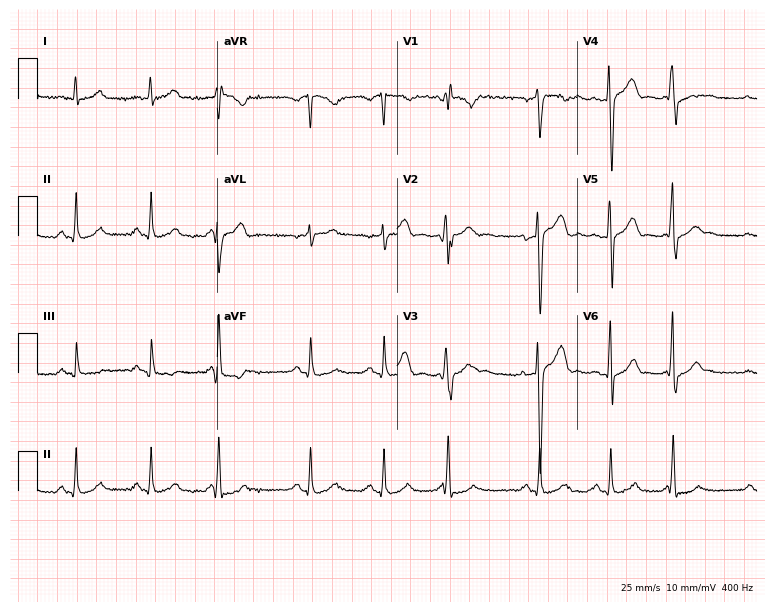
12-lead ECG (7.3-second recording at 400 Hz) from a male patient, 32 years old. Labelled as a normal ECG.